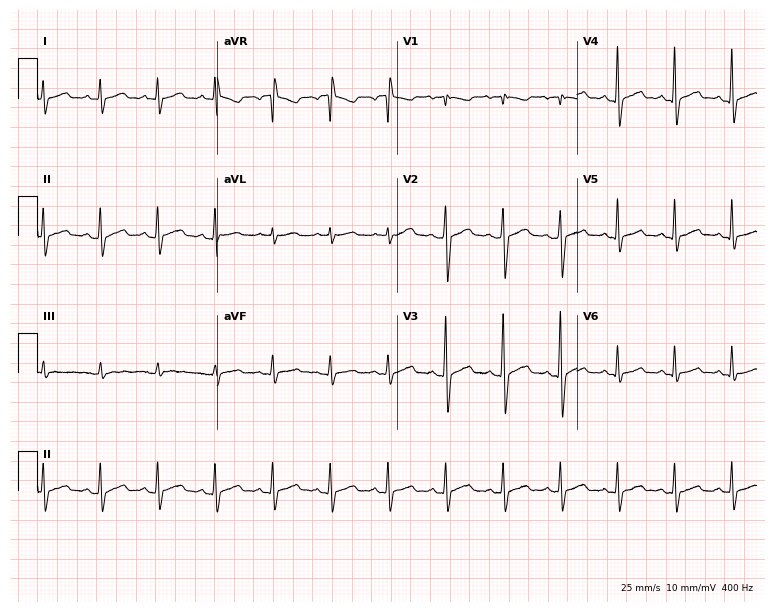
Electrocardiogram (7.3-second recording at 400 Hz), a 56-year-old male. Interpretation includes sinus tachycardia (a sinus rate of 100 beats per minute or more).